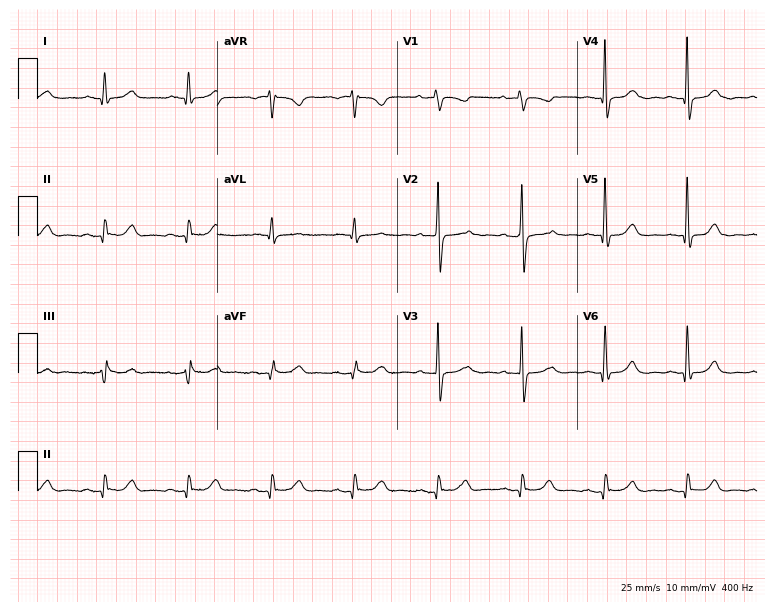
Electrocardiogram, a 57-year-old female. Overall reading on record: normal ECG.